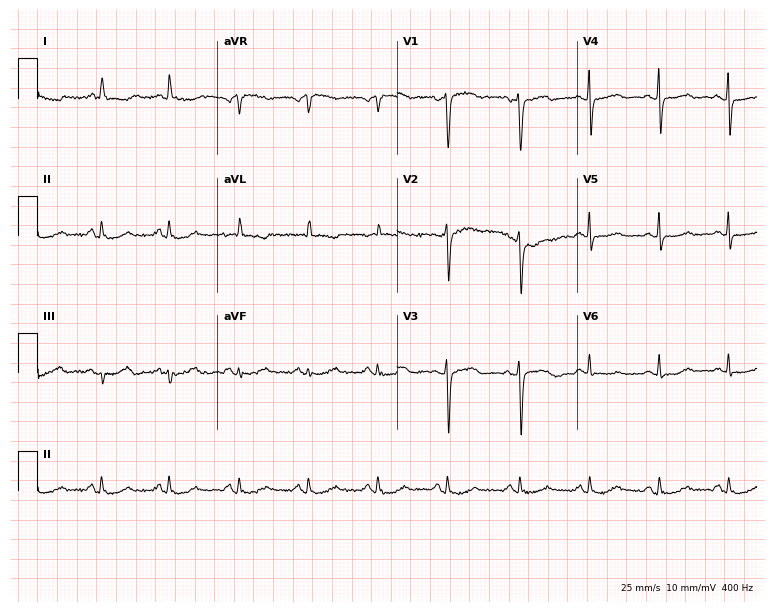
12-lead ECG from a female patient, 72 years old. No first-degree AV block, right bundle branch block (RBBB), left bundle branch block (LBBB), sinus bradycardia, atrial fibrillation (AF) or sinus tachycardia recorded for this tracing.